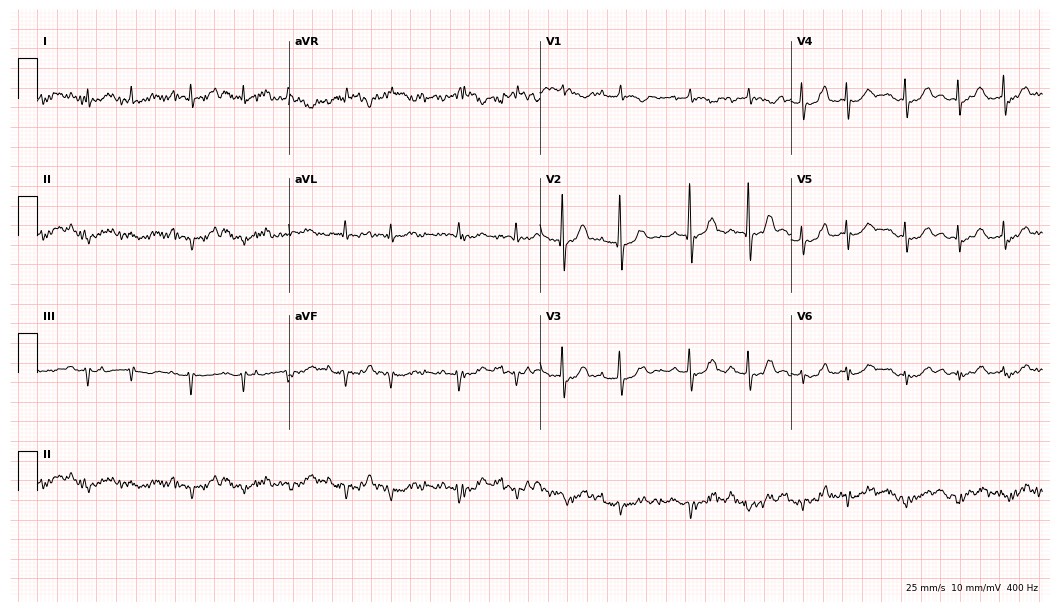
ECG — a female patient, 82 years old. Screened for six findings — first-degree AV block, right bundle branch block, left bundle branch block, sinus bradycardia, atrial fibrillation, sinus tachycardia — none is recorded.